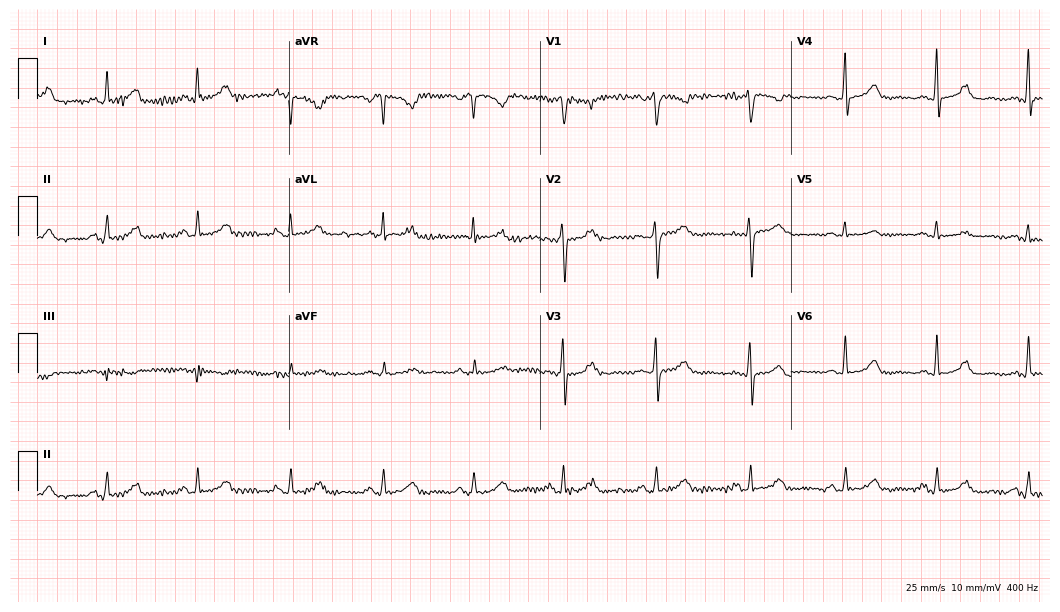
12-lead ECG from a 65-year-old female patient (10.2-second recording at 400 Hz). Recorded interpretation: within normal limits.